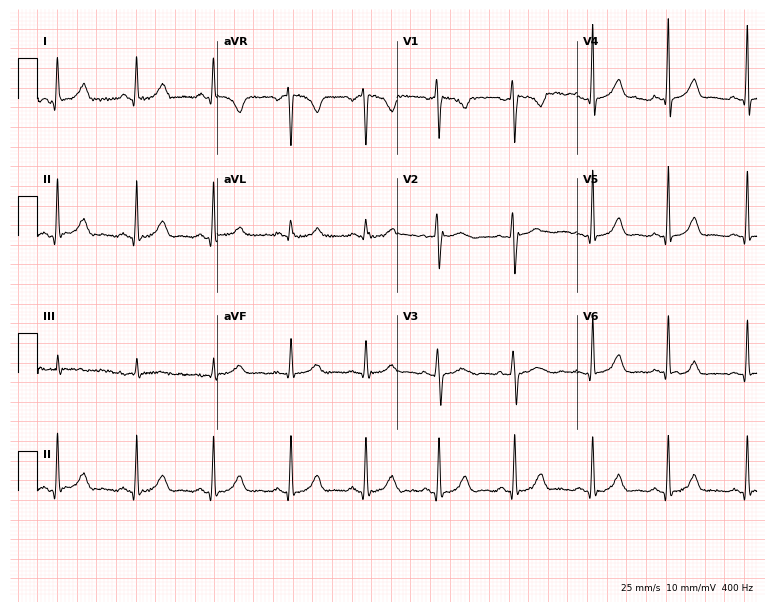
ECG — a female patient, 47 years old. Labelled as a normal ECG.